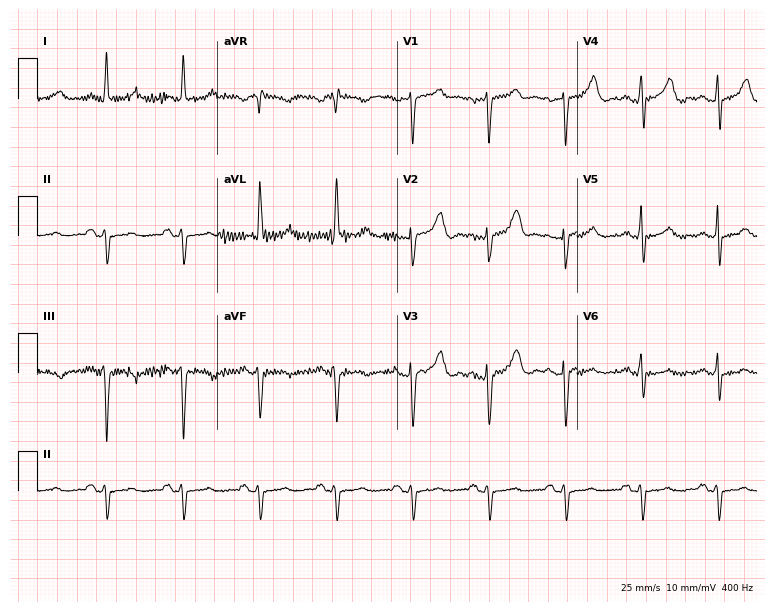
Resting 12-lead electrocardiogram. Patient: a female, 63 years old. None of these six findings is recorded: first-degree AV block, right bundle branch block, left bundle branch block, sinus bradycardia, atrial fibrillation, sinus tachycardia. Only these six findings were labelled.